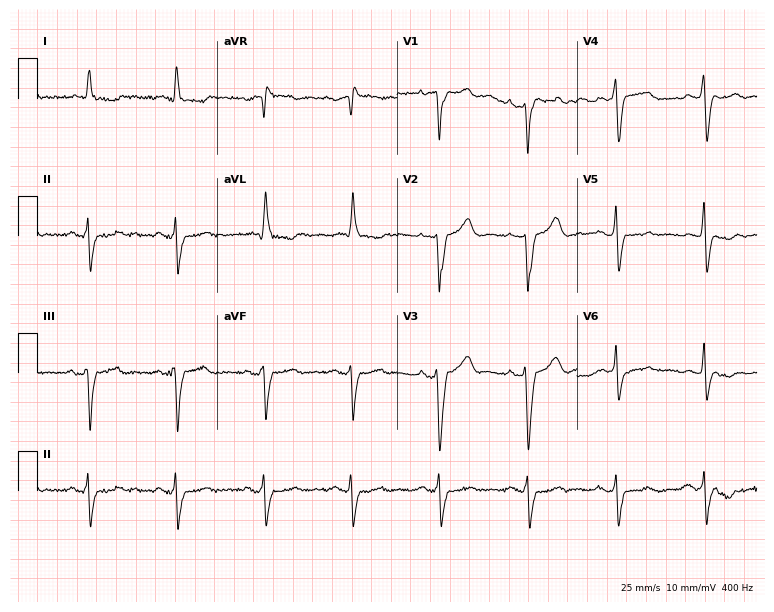
Resting 12-lead electrocardiogram. Patient: a 70-year-old male. The tracing shows left bundle branch block (LBBB).